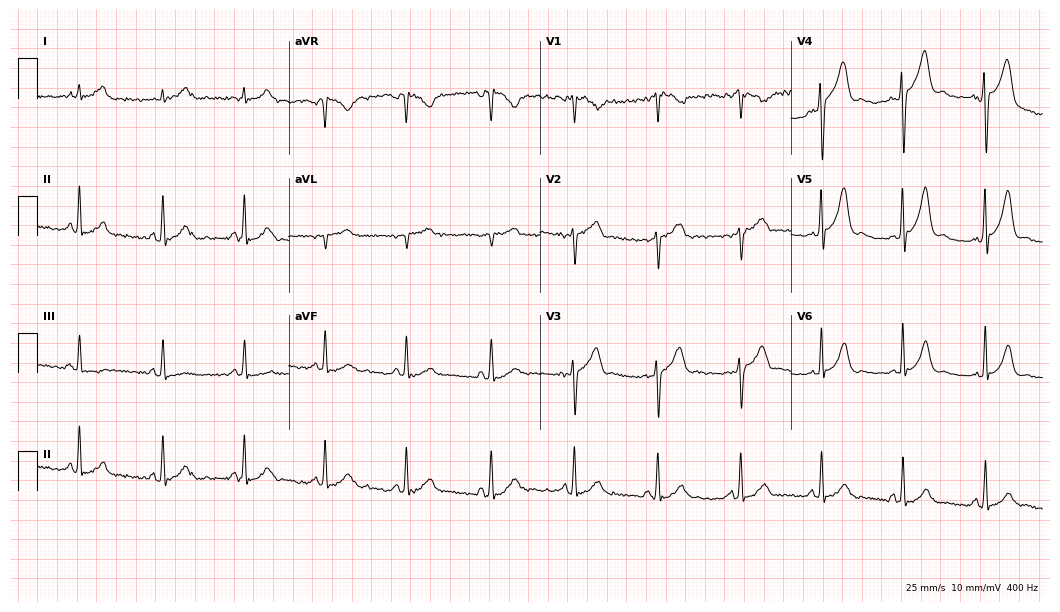
12-lead ECG from a male, 54 years old (10.2-second recording at 400 Hz). Recorded interpretation: within normal limits.